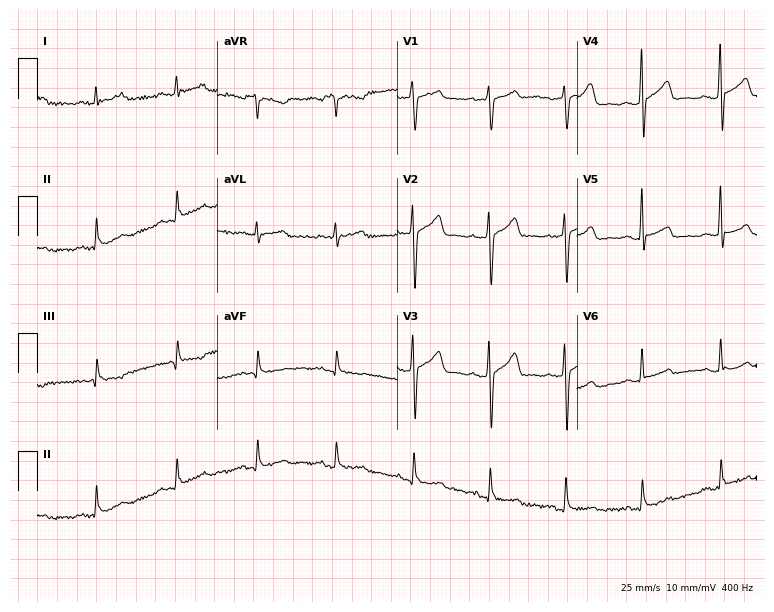
ECG — a 57-year-old man. Screened for six findings — first-degree AV block, right bundle branch block (RBBB), left bundle branch block (LBBB), sinus bradycardia, atrial fibrillation (AF), sinus tachycardia — none is recorded. Other findings, if any, are not listed.